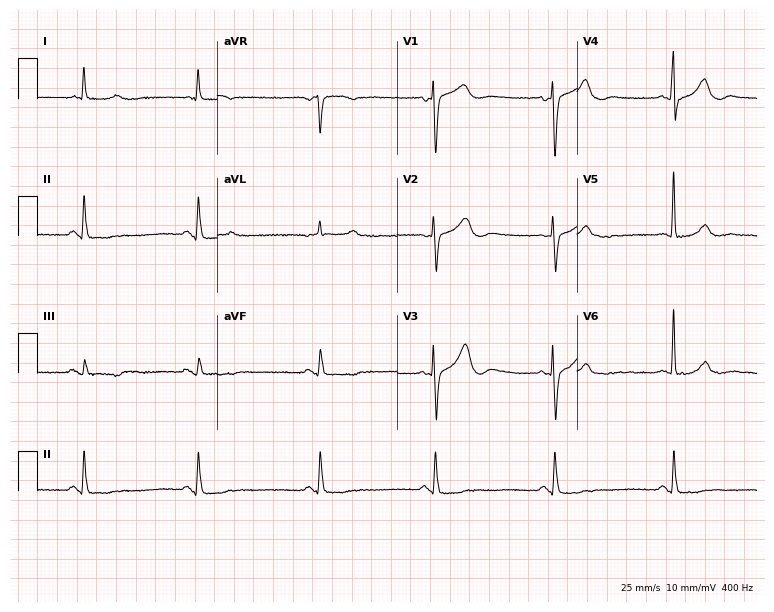
Resting 12-lead electrocardiogram (7.3-second recording at 400 Hz). Patient: a female, 84 years old. The tracing shows sinus bradycardia (a sinus rate of 50 beats per minute or less).